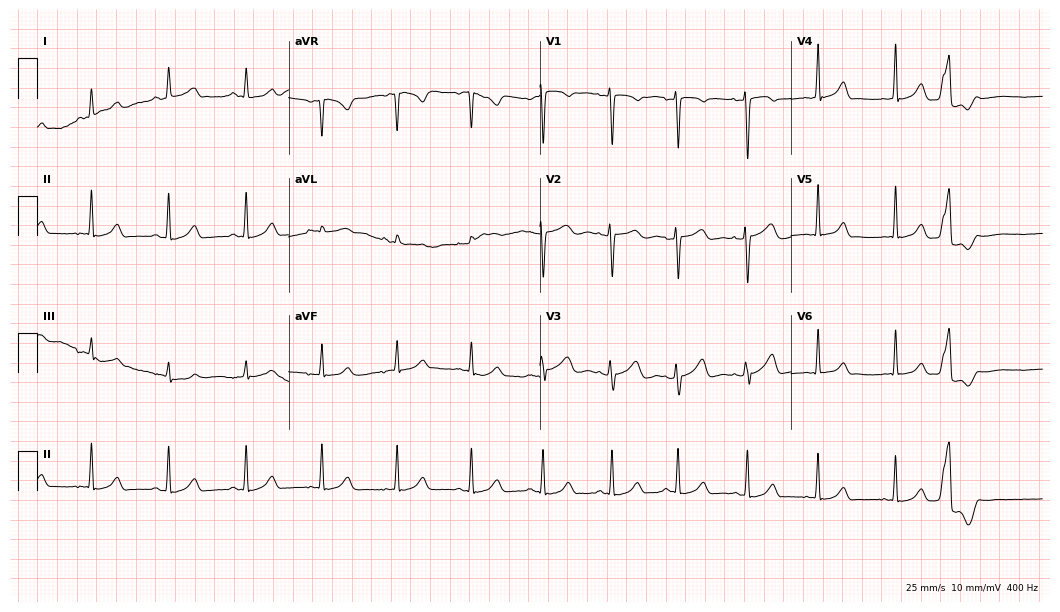
Standard 12-lead ECG recorded from a 38-year-old female (10.2-second recording at 400 Hz). Read as a normal ECG.